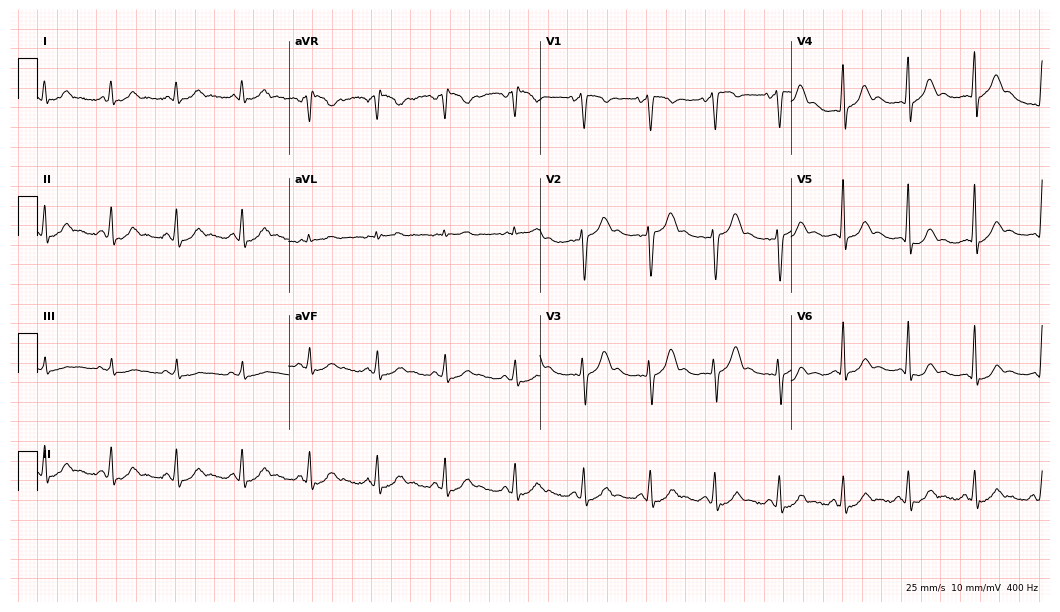
Electrocardiogram (10.2-second recording at 400 Hz), a female patient, 35 years old. Overall reading on record: normal ECG.